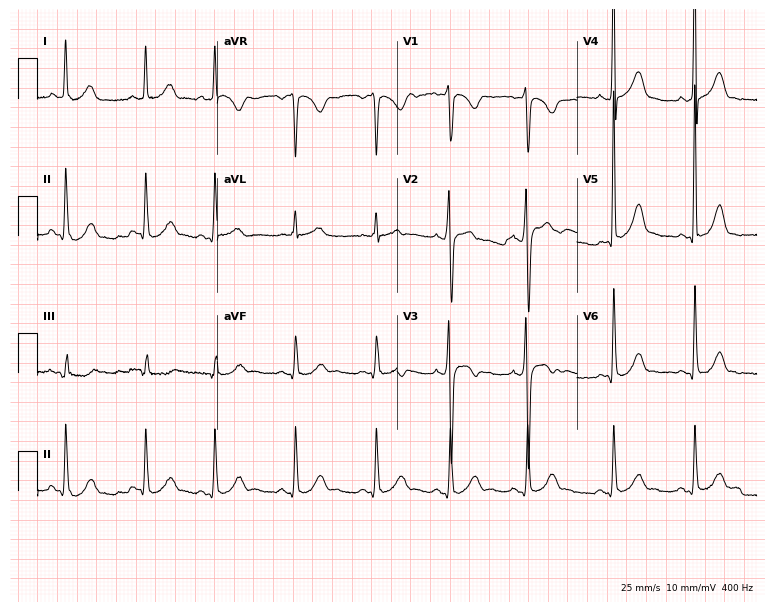
12-lead ECG from a man, 25 years old (7.3-second recording at 400 Hz). Recorded interpretation: within normal limits.